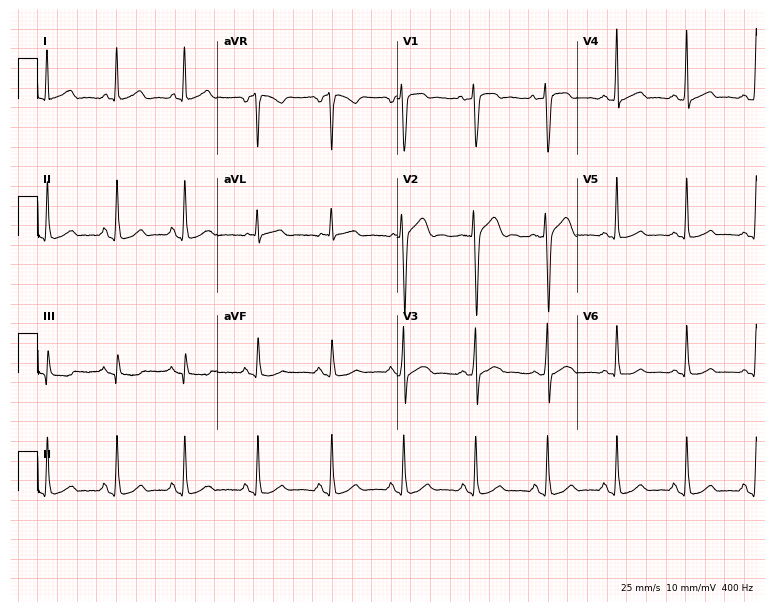
Electrocardiogram (7.3-second recording at 400 Hz), a 41-year-old man. Overall reading on record: normal ECG.